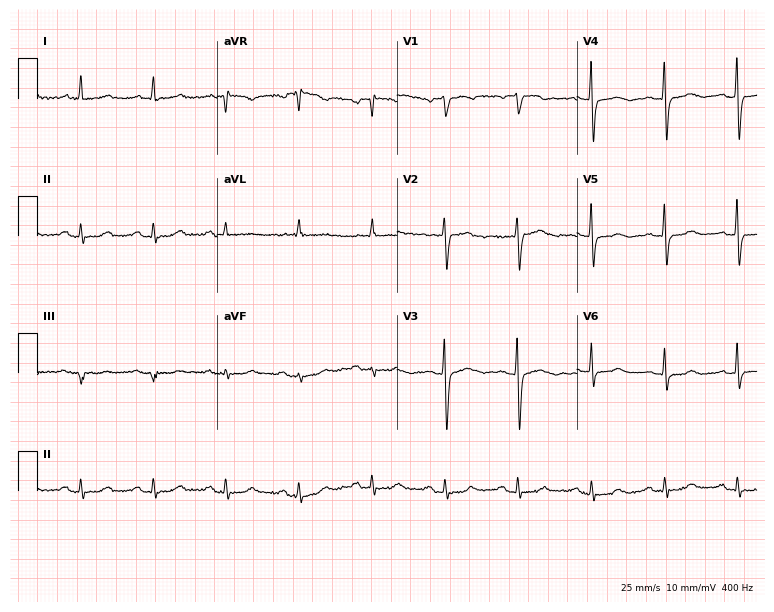
ECG — a female, 56 years old. Screened for six findings — first-degree AV block, right bundle branch block (RBBB), left bundle branch block (LBBB), sinus bradycardia, atrial fibrillation (AF), sinus tachycardia — none is recorded. Other findings, if any, are not listed.